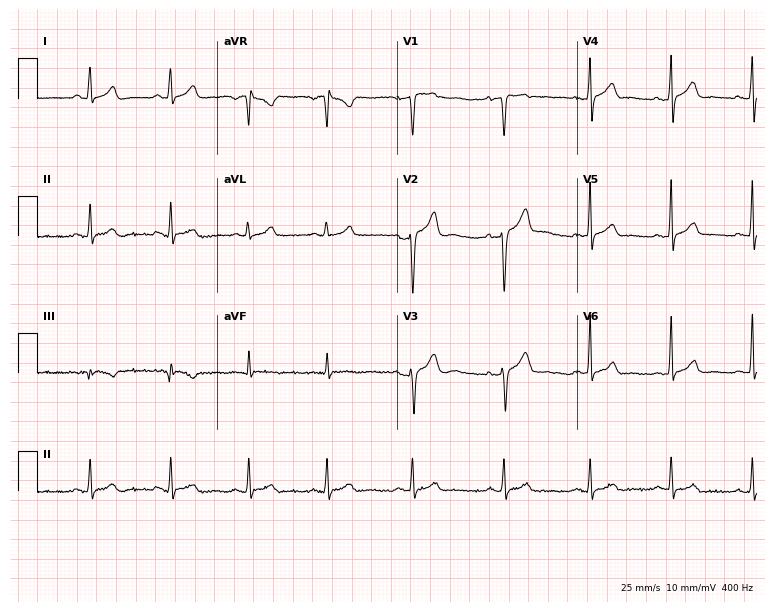
12-lead ECG from a 27-year-old man (7.3-second recording at 400 Hz). No first-degree AV block, right bundle branch block, left bundle branch block, sinus bradycardia, atrial fibrillation or sinus tachycardia recorded for this tracing. Other findings, if any, are not listed.